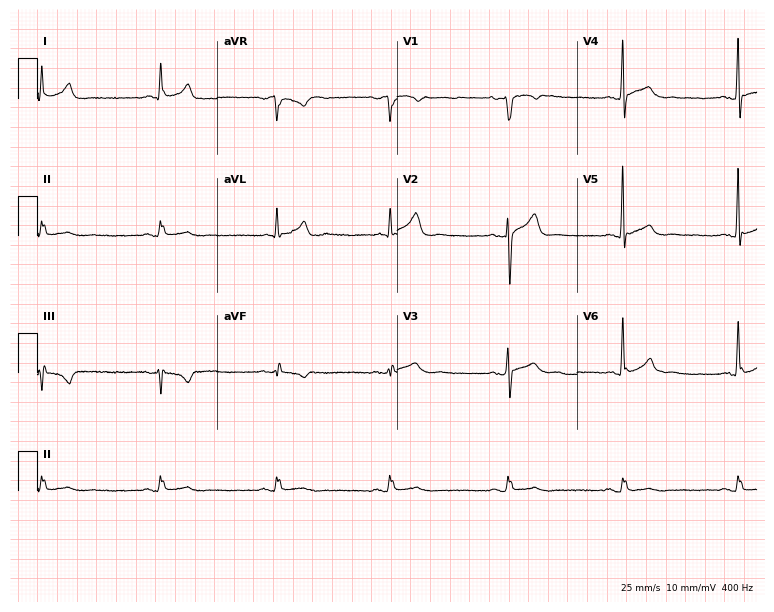
12-lead ECG from a 51-year-old male patient. Screened for six findings — first-degree AV block, right bundle branch block, left bundle branch block, sinus bradycardia, atrial fibrillation, sinus tachycardia — none is recorded.